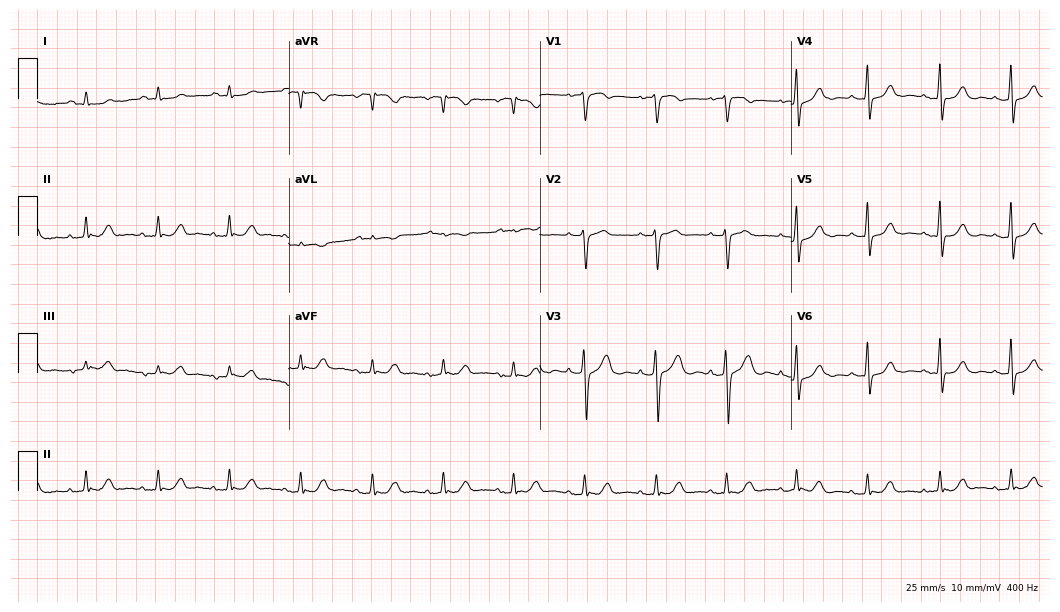
12-lead ECG from an 85-year-old male. Recorded interpretation: within normal limits.